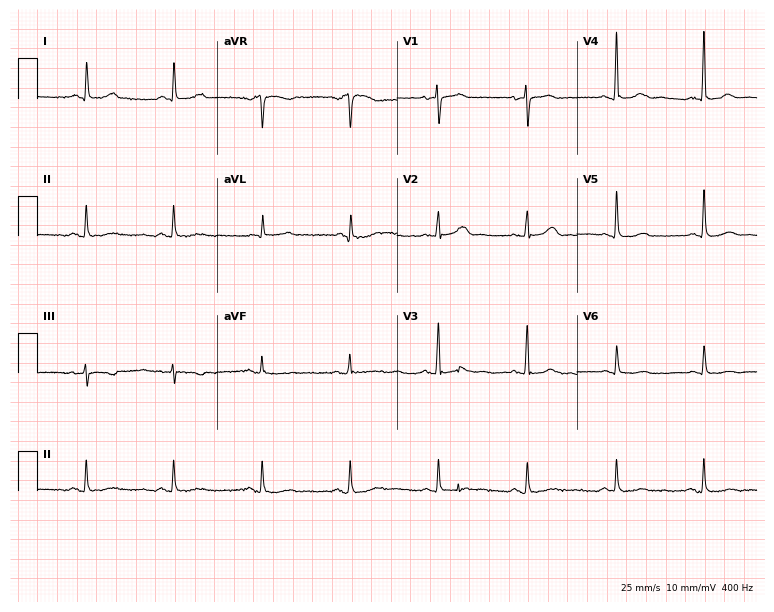
Standard 12-lead ECG recorded from a female patient, 74 years old (7.3-second recording at 400 Hz). None of these six findings is recorded: first-degree AV block, right bundle branch block (RBBB), left bundle branch block (LBBB), sinus bradycardia, atrial fibrillation (AF), sinus tachycardia. Findings outside these six are not listed.